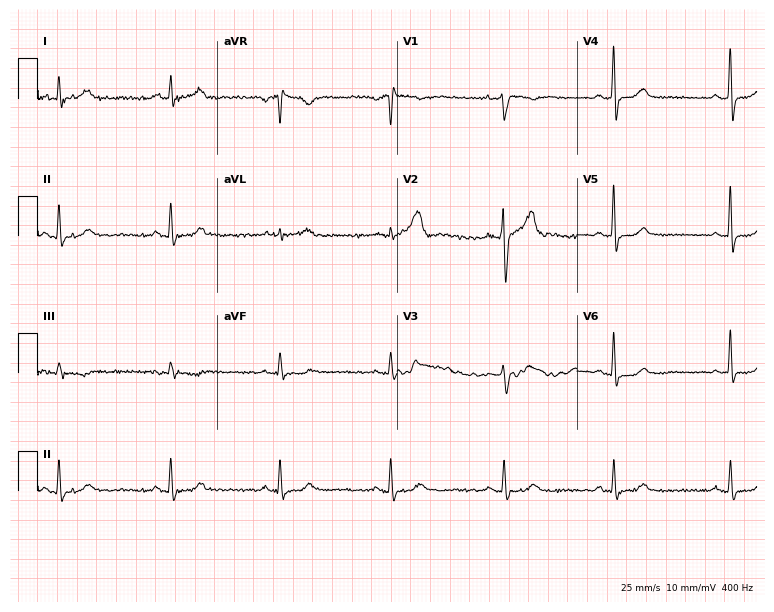
Resting 12-lead electrocardiogram (7.3-second recording at 400 Hz). Patient: a 45-year-old male. Read as a normal ECG.